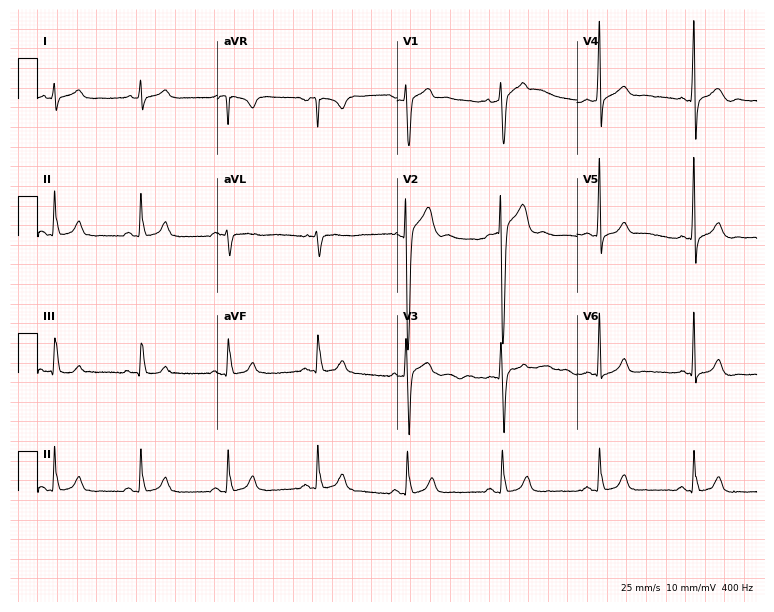
12-lead ECG from a male patient, 20 years old. Recorded interpretation: within normal limits.